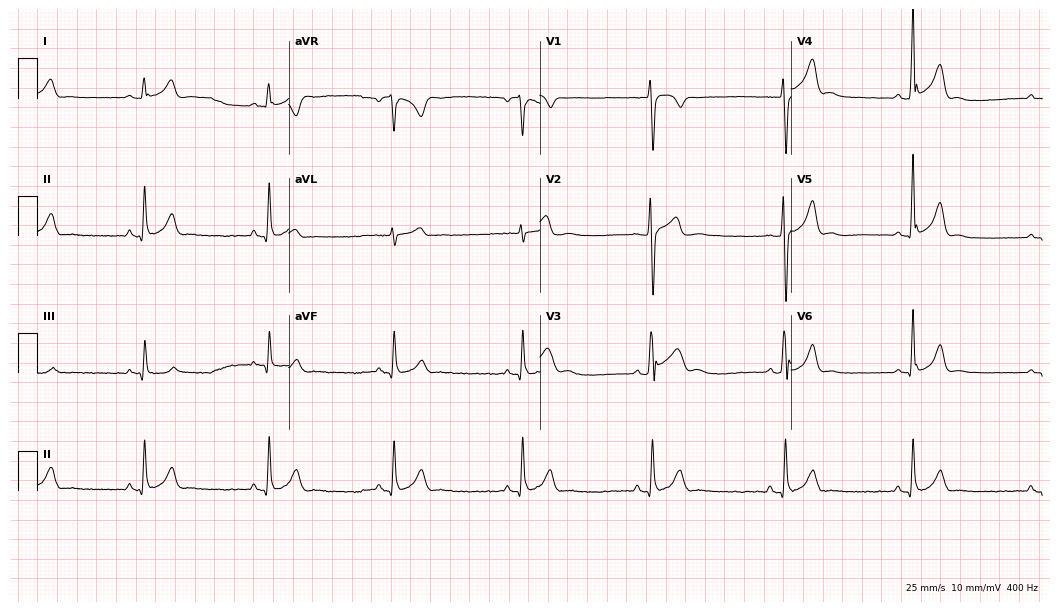
ECG (10.2-second recording at 400 Hz) — a female patient, 23 years old. Findings include sinus bradycardia (a sinus rate of 50 beats per minute or less).